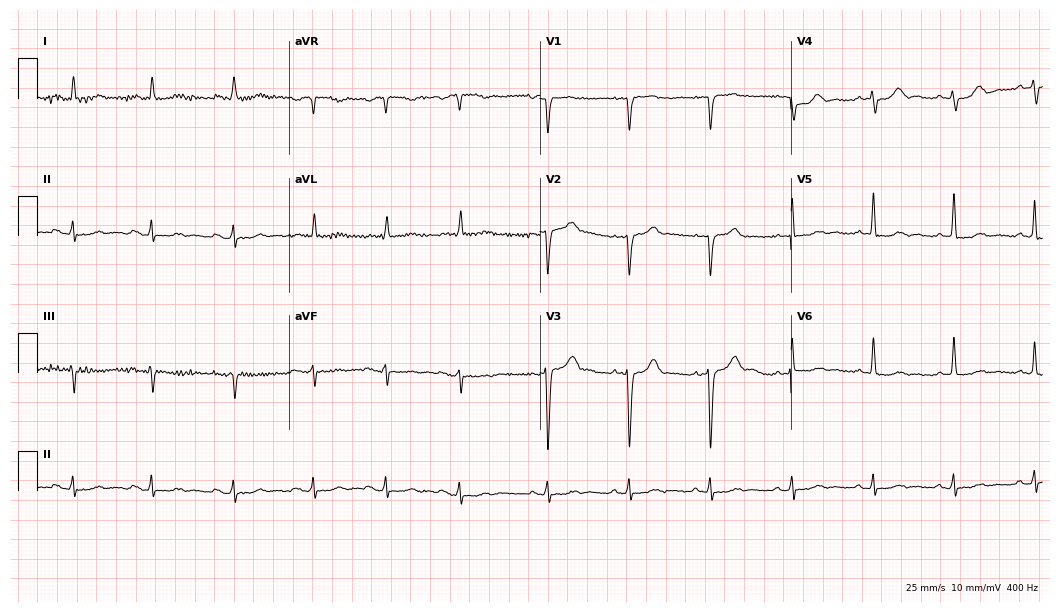
ECG — a male, 76 years old. Screened for six findings — first-degree AV block, right bundle branch block (RBBB), left bundle branch block (LBBB), sinus bradycardia, atrial fibrillation (AF), sinus tachycardia — none is recorded.